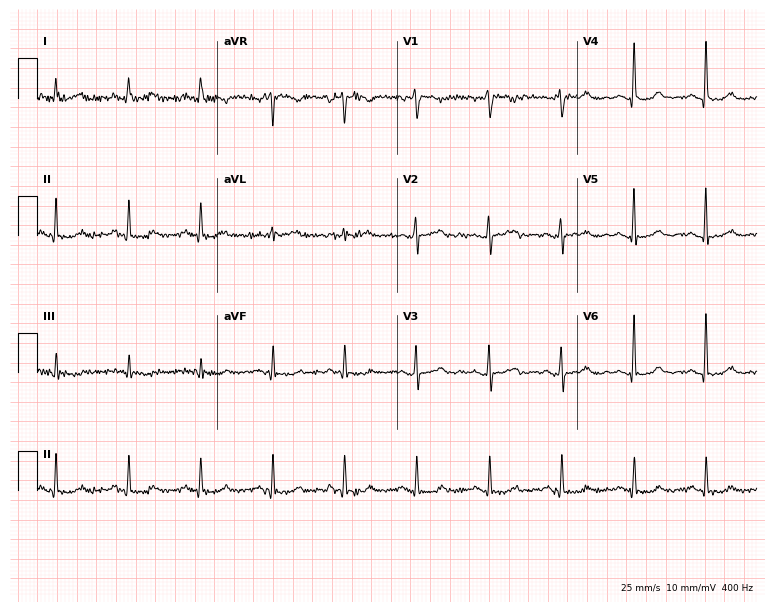
12-lead ECG from a female patient, 58 years old (7.3-second recording at 400 Hz). Recorded interpretation: within normal limits.